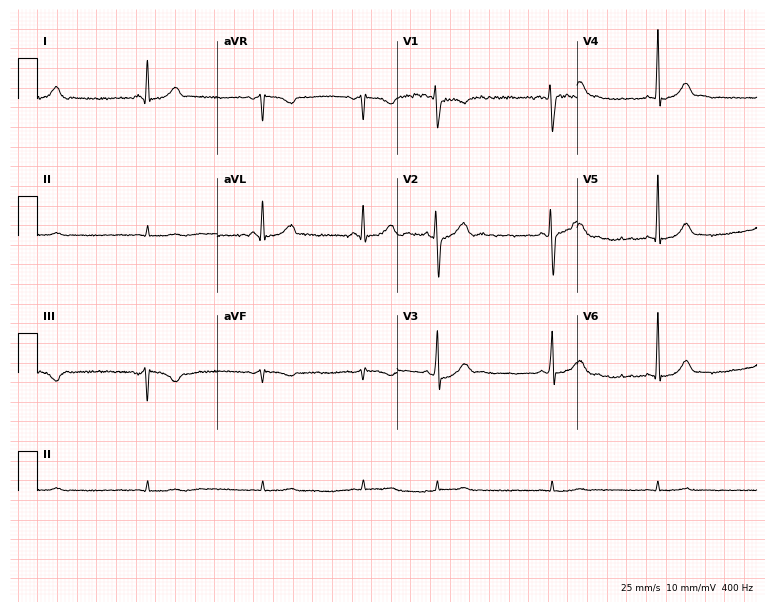
Resting 12-lead electrocardiogram (7.3-second recording at 400 Hz). Patient: a 20-year-old female. None of these six findings is recorded: first-degree AV block, right bundle branch block, left bundle branch block, sinus bradycardia, atrial fibrillation, sinus tachycardia.